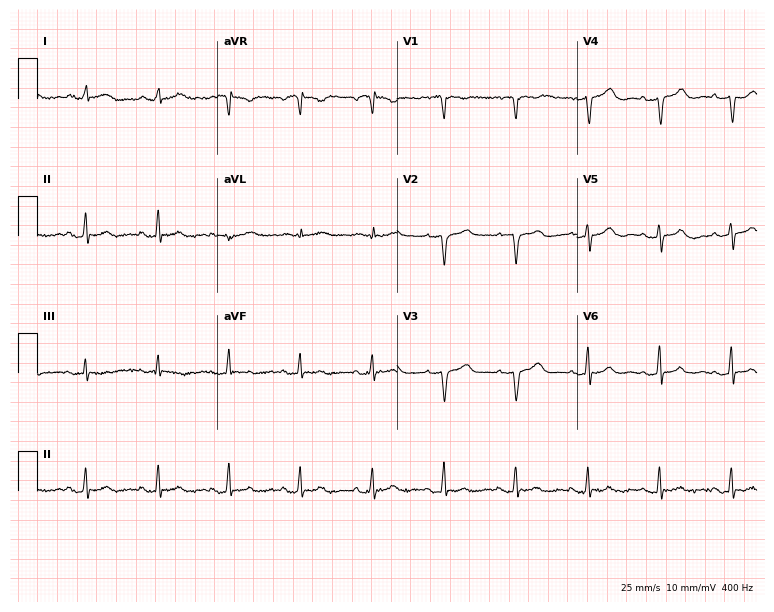
ECG — a 74-year-old female. Screened for six findings — first-degree AV block, right bundle branch block (RBBB), left bundle branch block (LBBB), sinus bradycardia, atrial fibrillation (AF), sinus tachycardia — none is recorded.